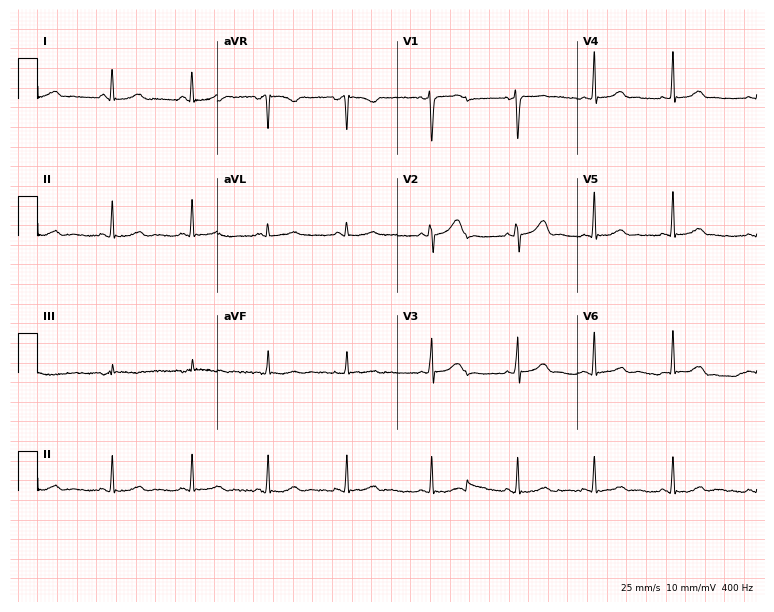
Resting 12-lead electrocardiogram. Patient: a female, 27 years old. Read as a normal ECG.